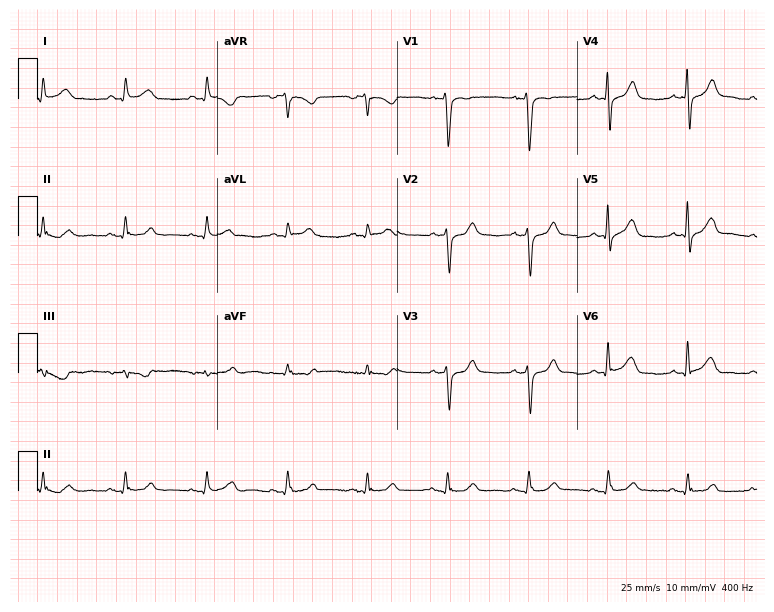
Electrocardiogram (7.3-second recording at 400 Hz), a 56-year-old male. Of the six screened findings (first-degree AV block, right bundle branch block, left bundle branch block, sinus bradycardia, atrial fibrillation, sinus tachycardia), none is recorded.